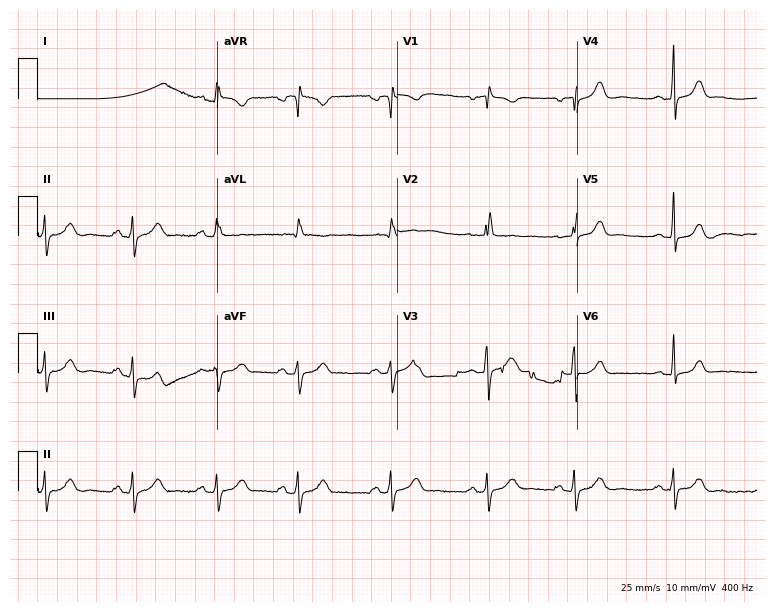
ECG — a 21-year-old woman. Screened for six findings — first-degree AV block, right bundle branch block, left bundle branch block, sinus bradycardia, atrial fibrillation, sinus tachycardia — none is recorded. Findings outside these six are not listed.